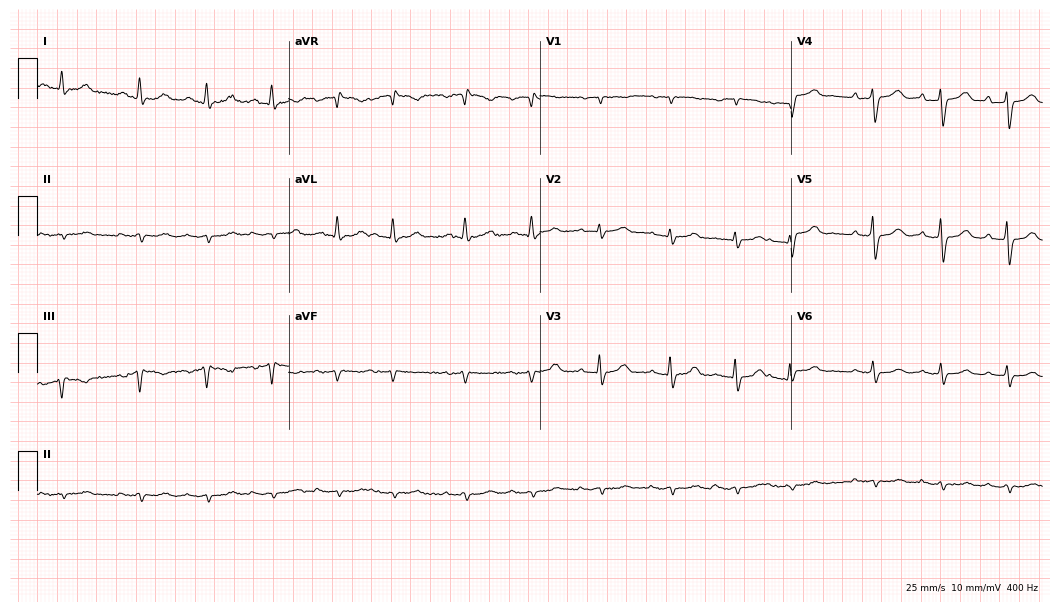
12-lead ECG from a 77-year-old female. Labelled as a normal ECG.